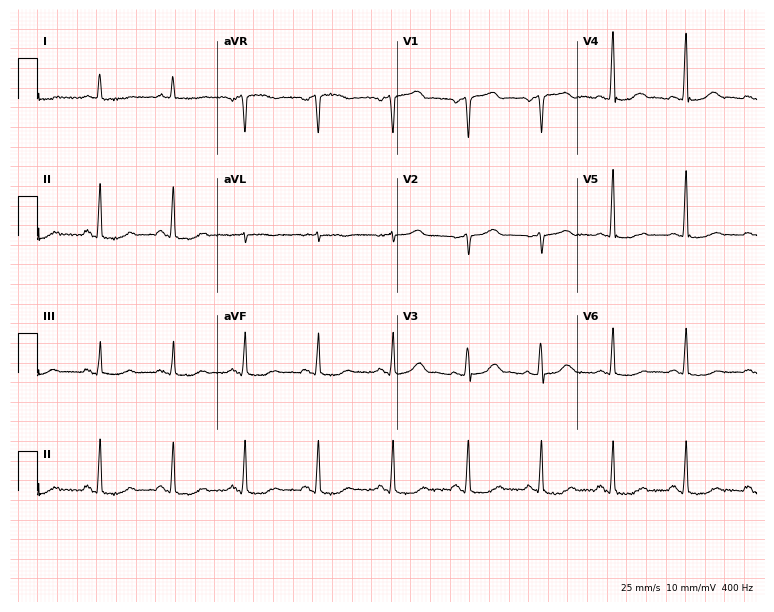
Electrocardiogram (7.3-second recording at 400 Hz), a female patient, 61 years old. Of the six screened findings (first-degree AV block, right bundle branch block, left bundle branch block, sinus bradycardia, atrial fibrillation, sinus tachycardia), none is recorded.